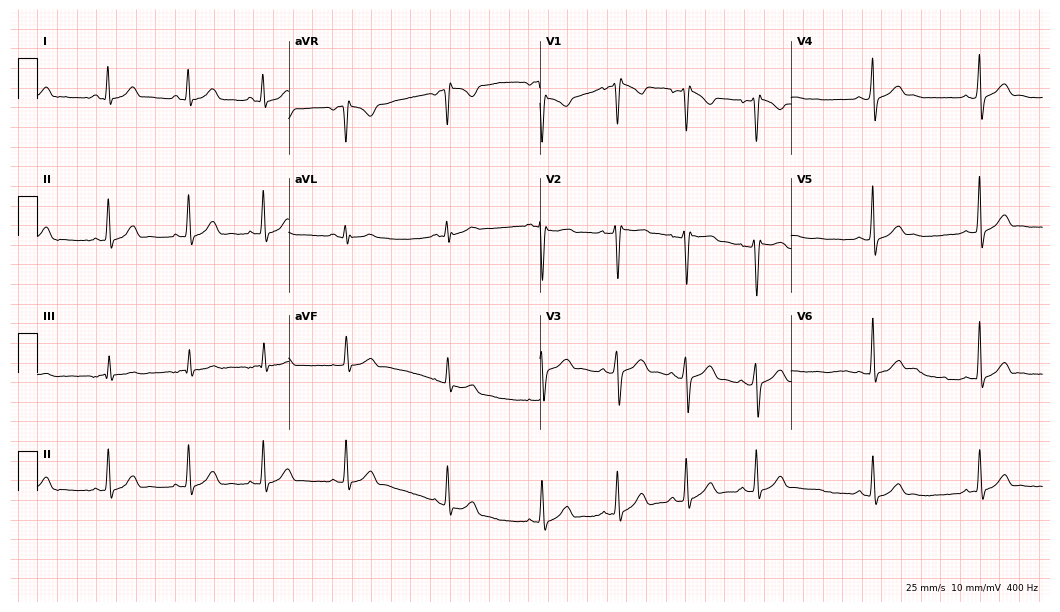
Electrocardiogram, a man, 24 years old. Of the six screened findings (first-degree AV block, right bundle branch block, left bundle branch block, sinus bradycardia, atrial fibrillation, sinus tachycardia), none is recorded.